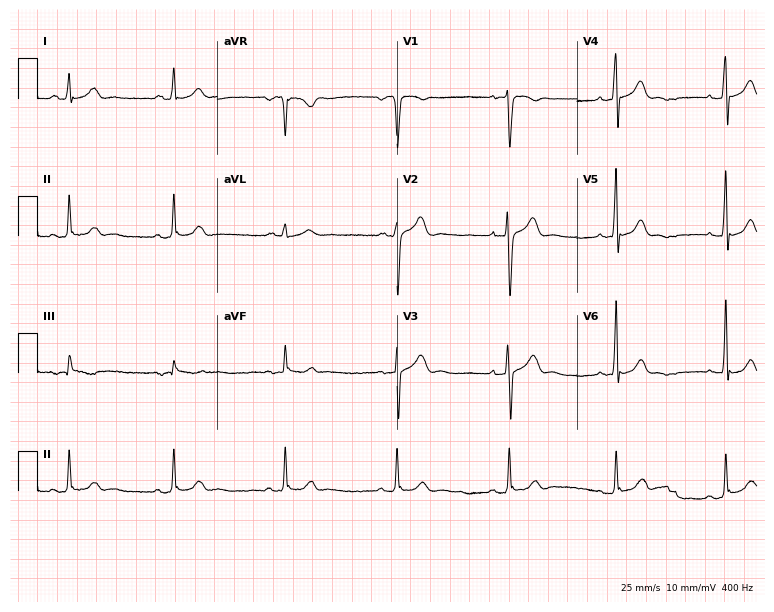
ECG — a 21-year-old male patient. Labelled as a normal ECG.